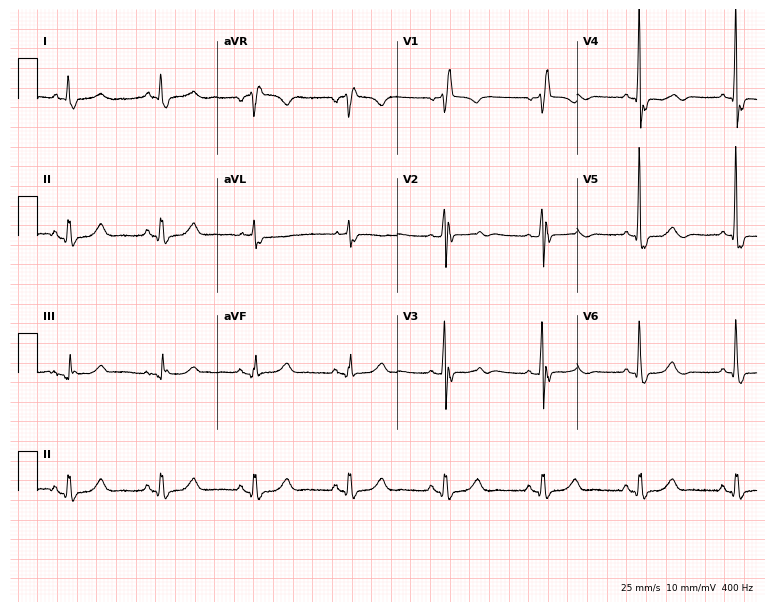
ECG (7.3-second recording at 400 Hz) — a female patient, 77 years old. Findings include right bundle branch block.